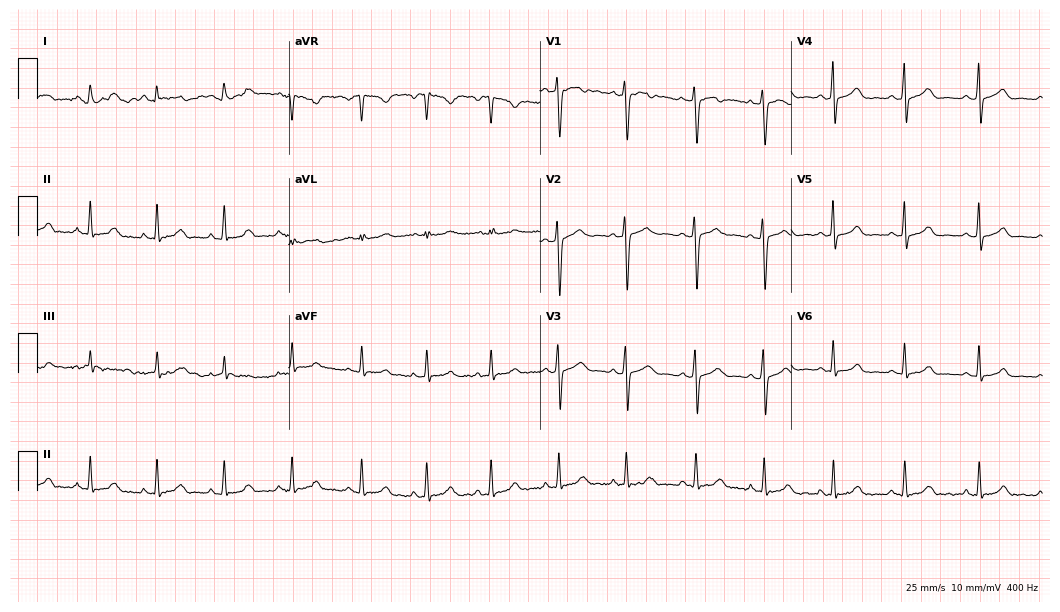
Resting 12-lead electrocardiogram. Patient: a woman, 27 years old. Read as a normal ECG.